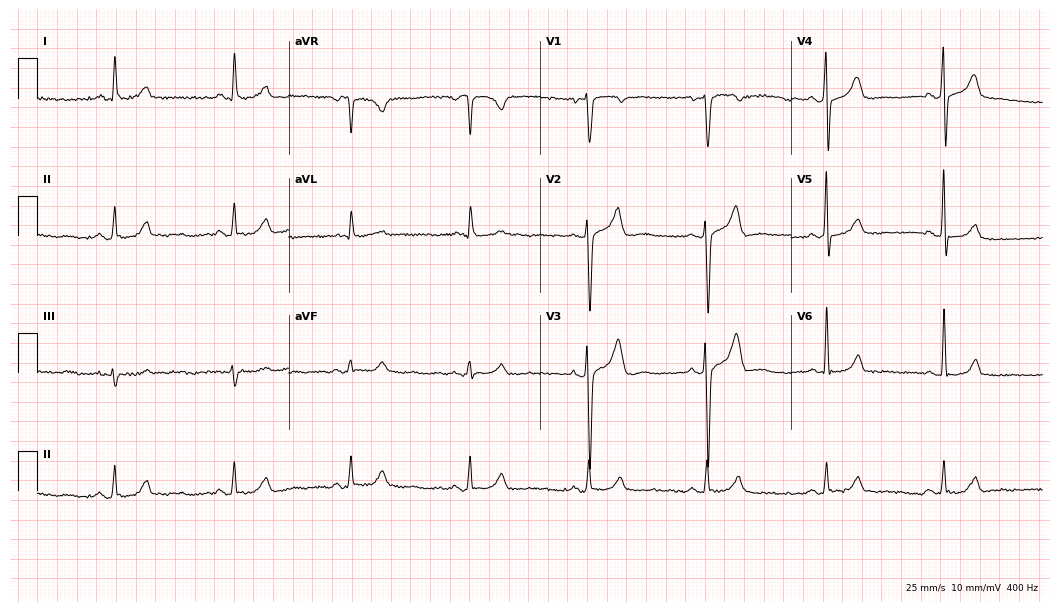
Electrocardiogram, a 42-year-old man. Overall reading on record: normal ECG.